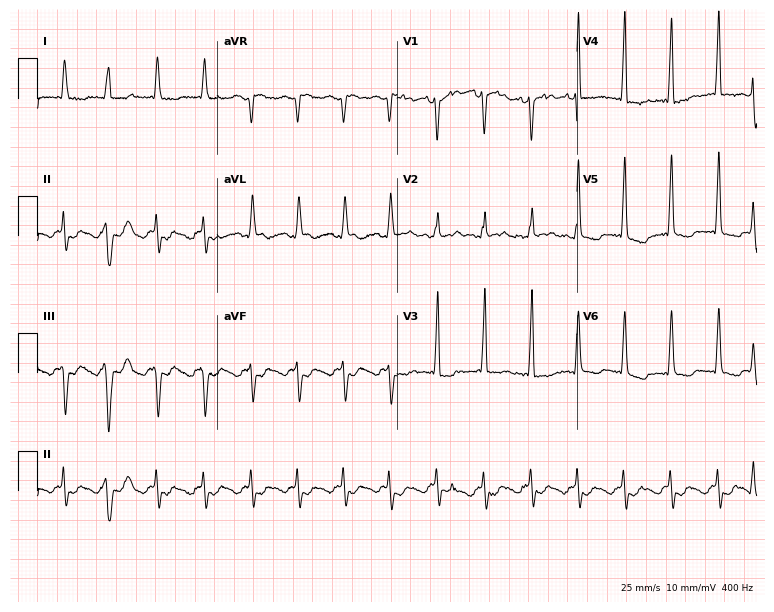
12-lead ECG (7.3-second recording at 400 Hz) from an 84-year-old male. Screened for six findings — first-degree AV block, right bundle branch block, left bundle branch block, sinus bradycardia, atrial fibrillation, sinus tachycardia — none is recorded. Other findings, if any, are not listed.